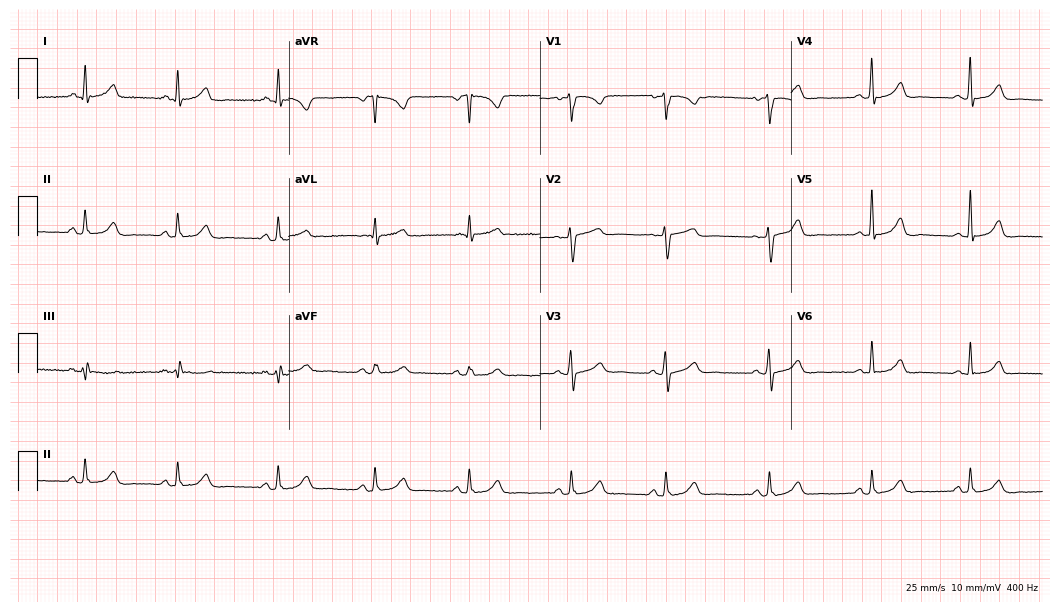
ECG — a female, 43 years old. Labelled as a normal ECG.